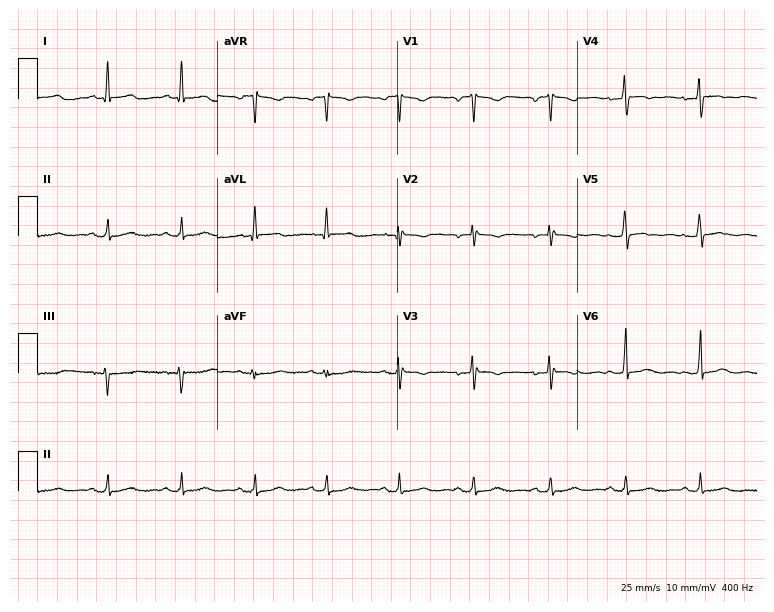
12-lead ECG from a 43-year-old female. Labelled as a normal ECG.